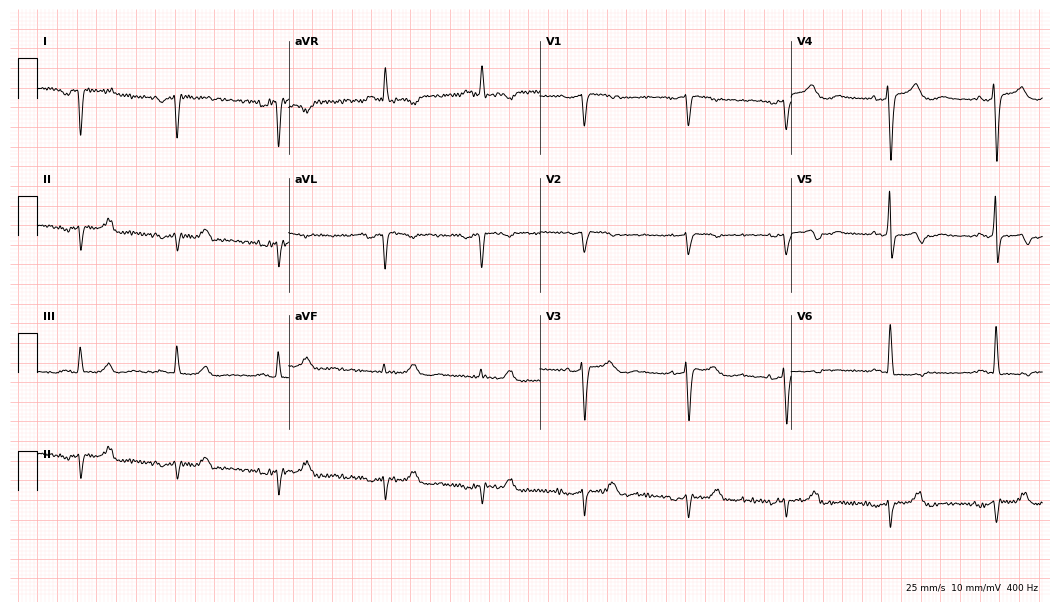
Resting 12-lead electrocardiogram (10.2-second recording at 400 Hz). Patient: a 64-year-old female. None of these six findings is recorded: first-degree AV block, right bundle branch block, left bundle branch block, sinus bradycardia, atrial fibrillation, sinus tachycardia.